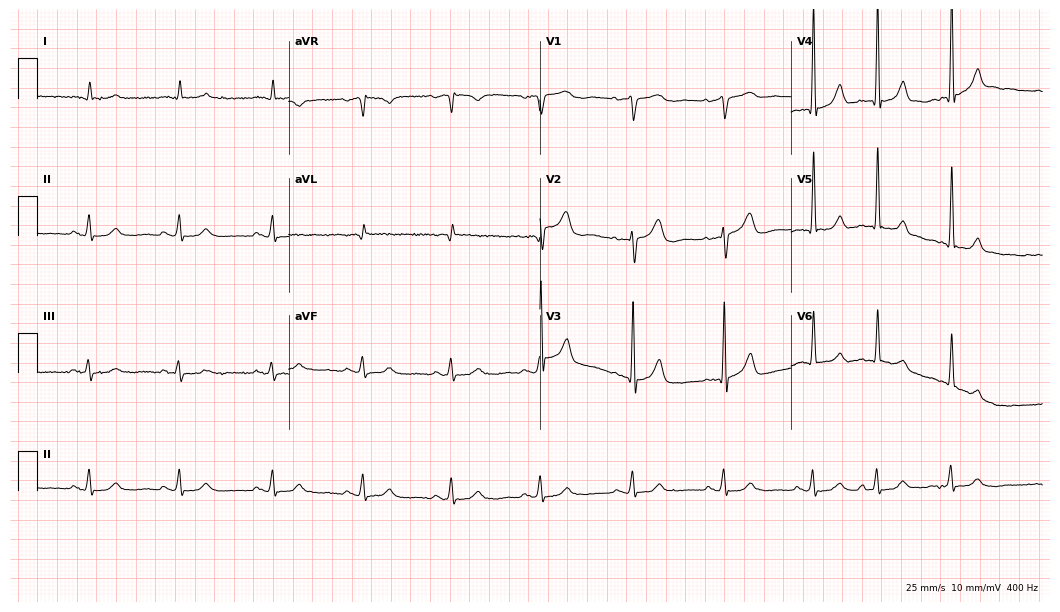
ECG — an 87-year-old male. Labelled as a normal ECG.